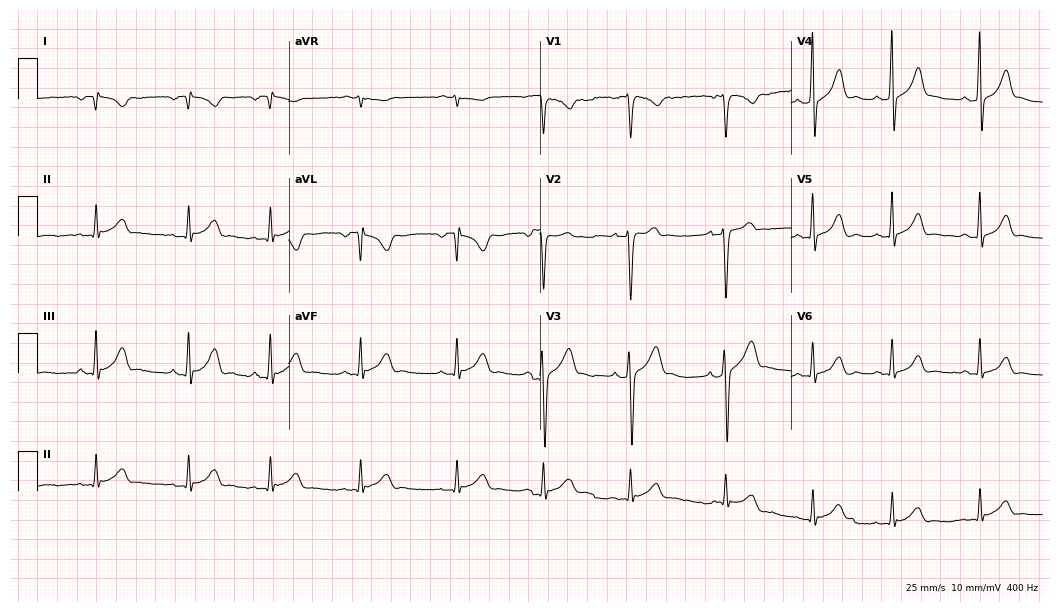
Resting 12-lead electrocardiogram. Patient: a male, 17 years old. Read as a normal ECG.